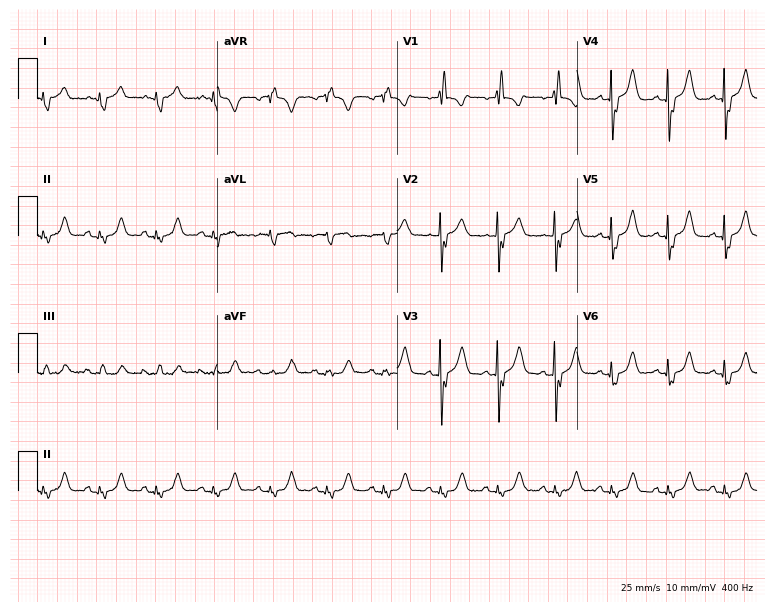
ECG (7.3-second recording at 400 Hz) — an 85-year-old male. Screened for six findings — first-degree AV block, right bundle branch block (RBBB), left bundle branch block (LBBB), sinus bradycardia, atrial fibrillation (AF), sinus tachycardia — none is recorded. Findings outside these six are not listed.